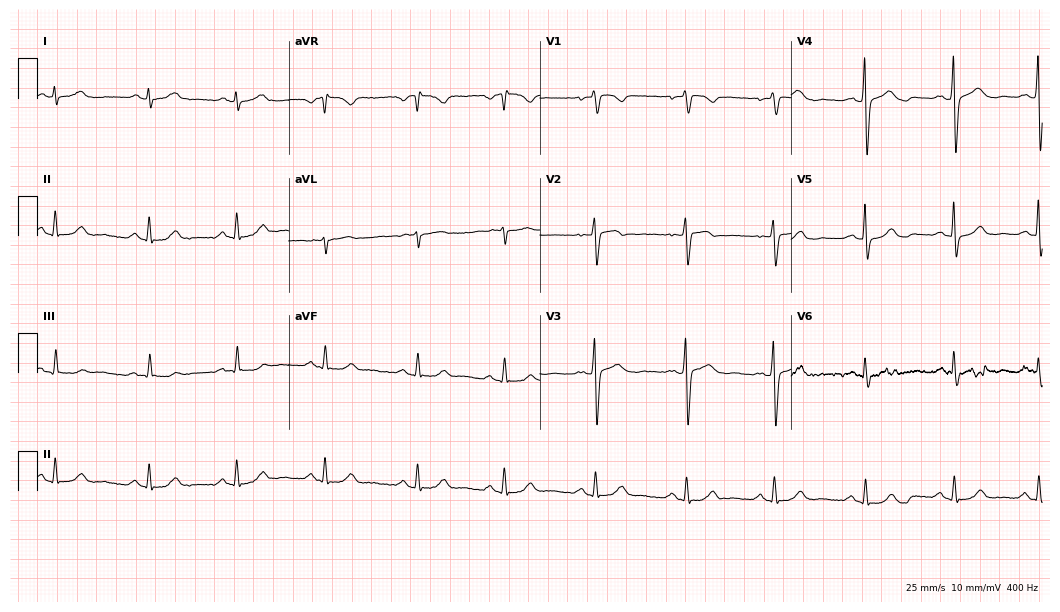
Electrocardiogram (10.2-second recording at 400 Hz), a 61-year-old female patient. Of the six screened findings (first-degree AV block, right bundle branch block, left bundle branch block, sinus bradycardia, atrial fibrillation, sinus tachycardia), none is recorded. Other findings, if any, are not listed.